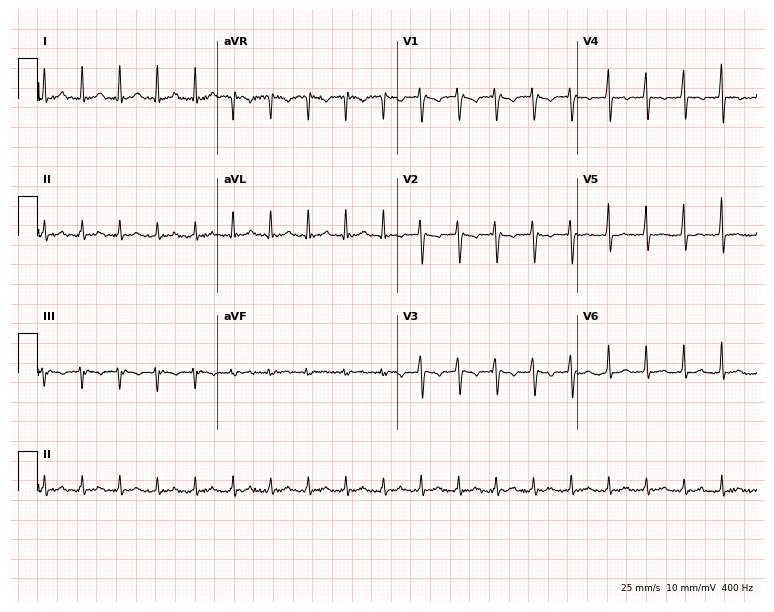
ECG (7.3-second recording at 400 Hz) — a 38-year-old female patient. Findings include sinus tachycardia (a sinus rate of 100 beats per minute or more).